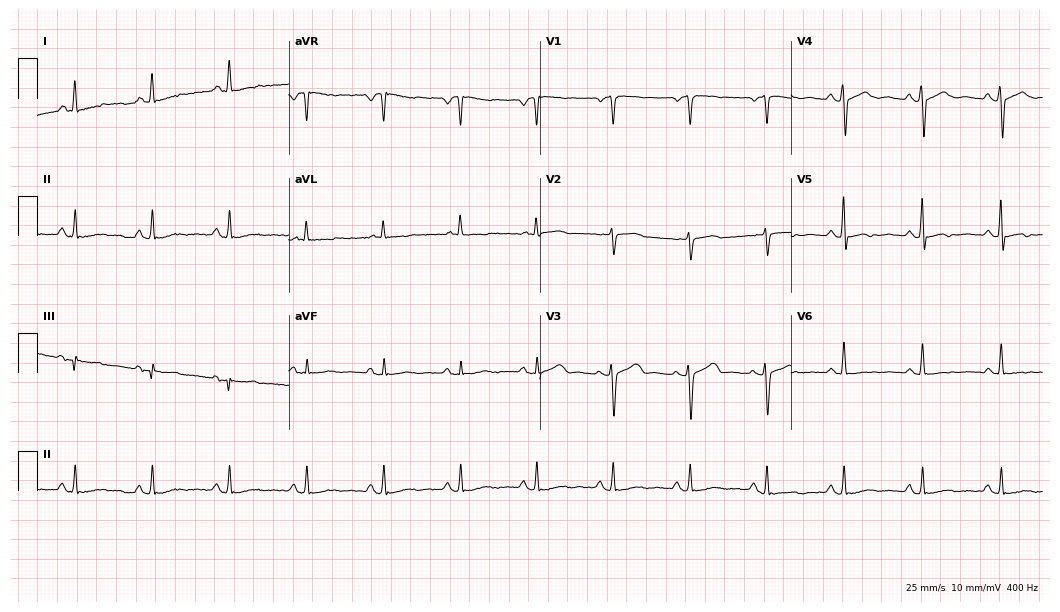
Resting 12-lead electrocardiogram. Patient: a 58-year-old female. None of these six findings is recorded: first-degree AV block, right bundle branch block (RBBB), left bundle branch block (LBBB), sinus bradycardia, atrial fibrillation (AF), sinus tachycardia. Only these six findings were labelled.